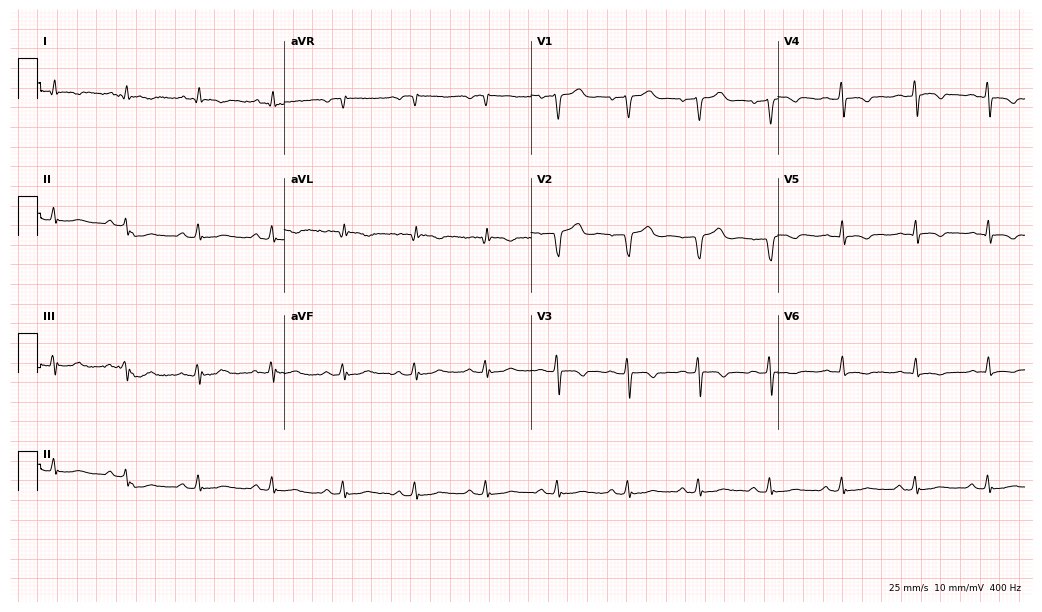
12-lead ECG from a man, 62 years old. Screened for six findings — first-degree AV block, right bundle branch block, left bundle branch block, sinus bradycardia, atrial fibrillation, sinus tachycardia — none is recorded.